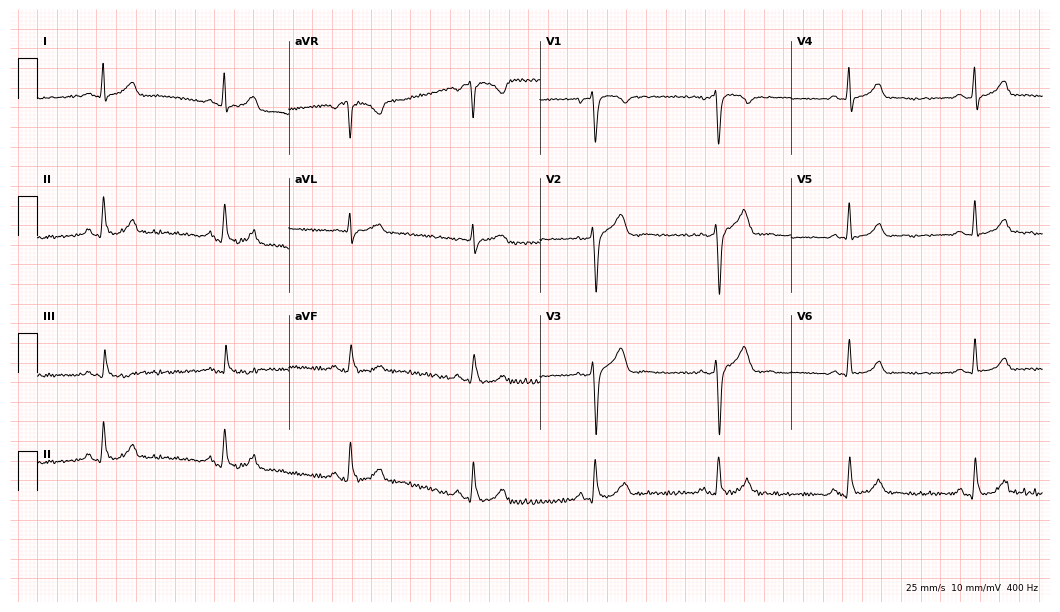
Resting 12-lead electrocardiogram. Patient: a male, 45 years old. The tracing shows sinus bradycardia (a sinus rate of 50 beats per minute or less).